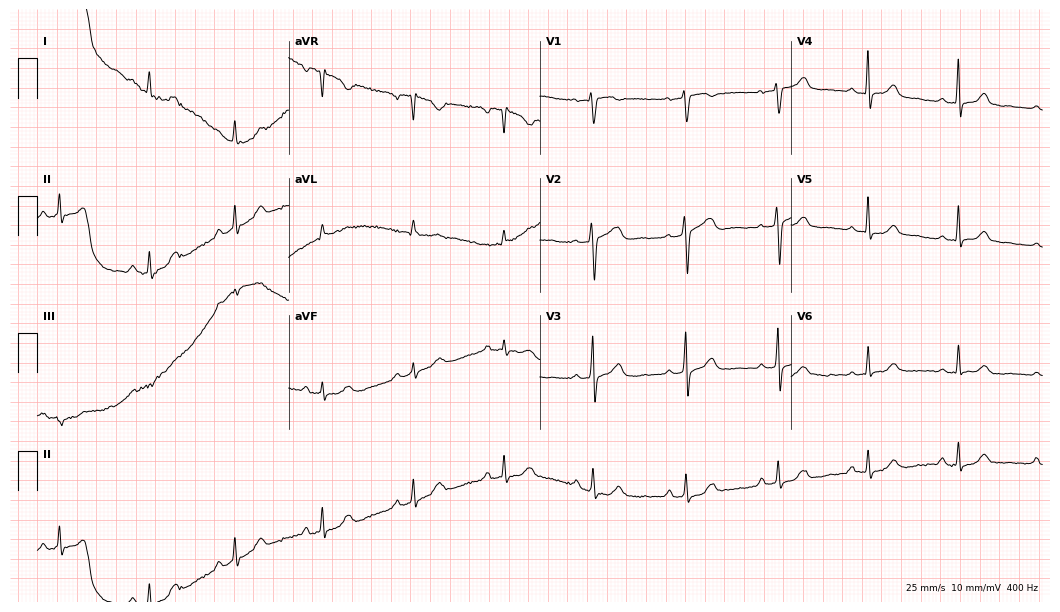
Electrocardiogram, a female patient, 52 years old. Overall reading on record: normal ECG.